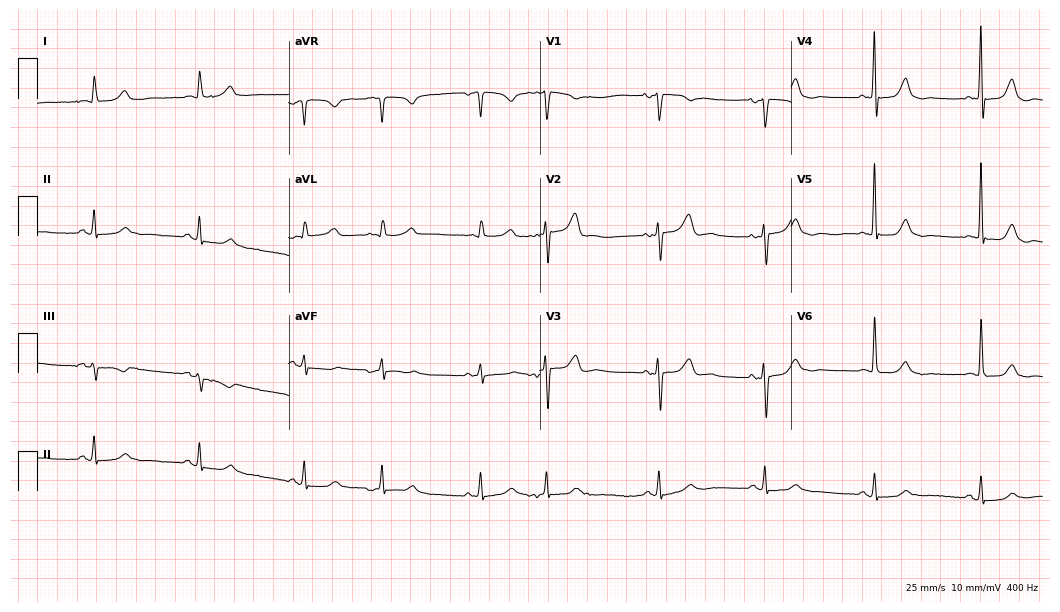
Resting 12-lead electrocardiogram. Patient: a 78-year-old female. None of these six findings is recorded: first-degree AV block, right bundle branch block, left bundle branch block, sinus bradycardia, atrial fibrillation, sinus tachycardia.